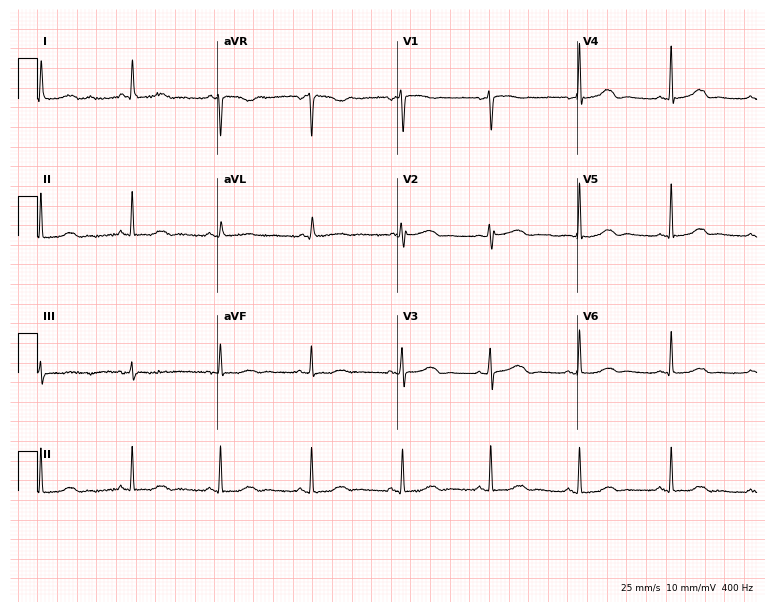
12-lead ECG from a woman, 84 years old. Labelled as a normal ECG.